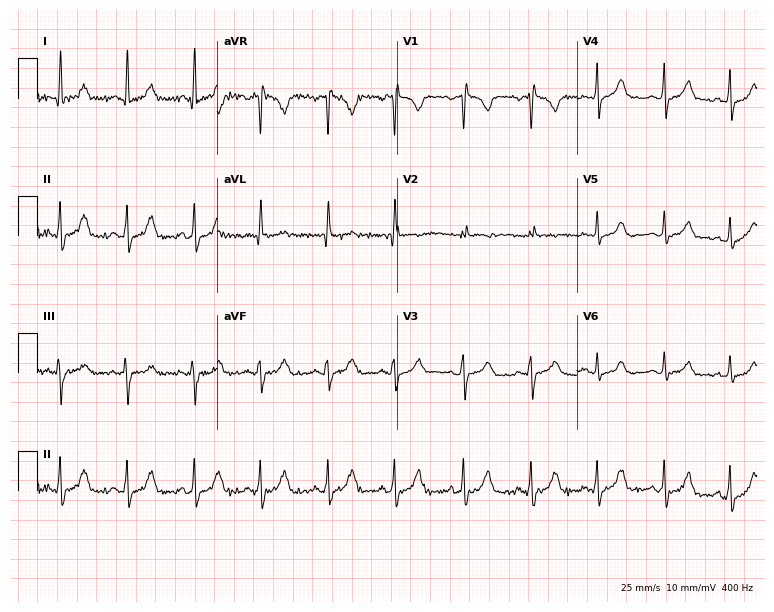
ECG (7.3-second recording at 400 Hz) — a female, 26 years old. Screened for six findings — first-degree AV block, right bundle branch block, left bundle branch block, sinus bradycardia, atrial fibrillation, sinus tachycardia — none is recorded.